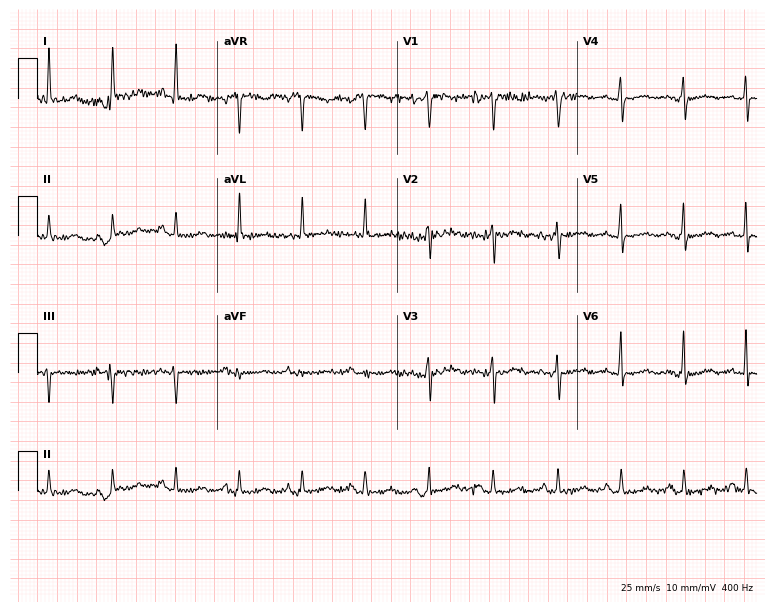
Resting 12-lead electrocardiogram. Patient: a 44-year-old female. None of these six findings is recorded: first-degree AV block, right bundle branch block (RBBB), left bundle branch block (LBBB), sinus bradycardia, atrial fibrillation (AF), sinus tachycardia.